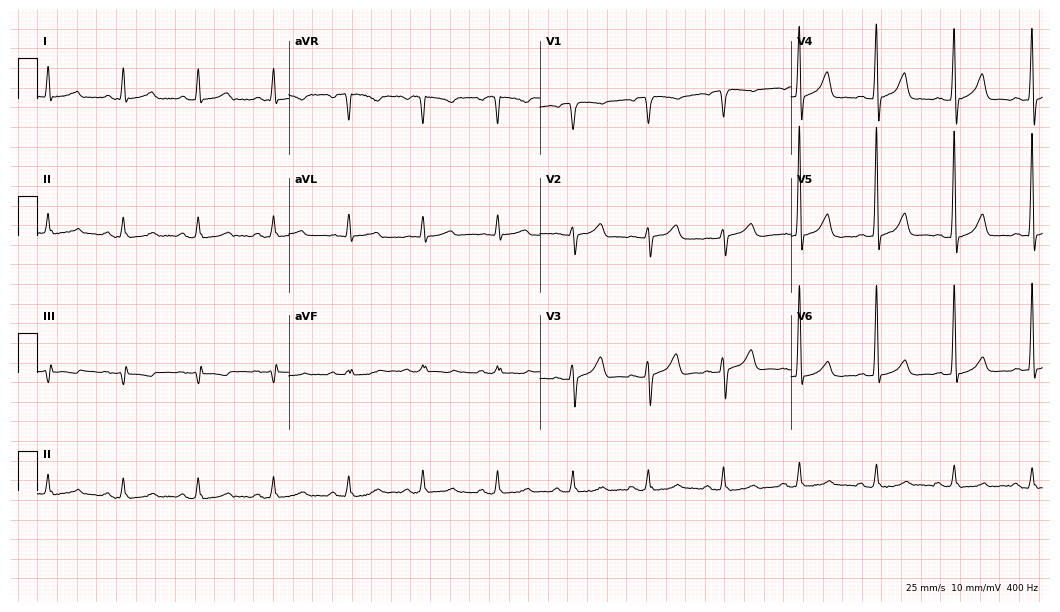
Standard 12-lead ECG recorded from a man, 73 years old. None of these six findings is recorded: first-degree AV block, right bundle branch block (RBBB), left bundle branch block (LBBB), sinus bradycardia, atrial fibrillation (AF), sinus tachycardia.